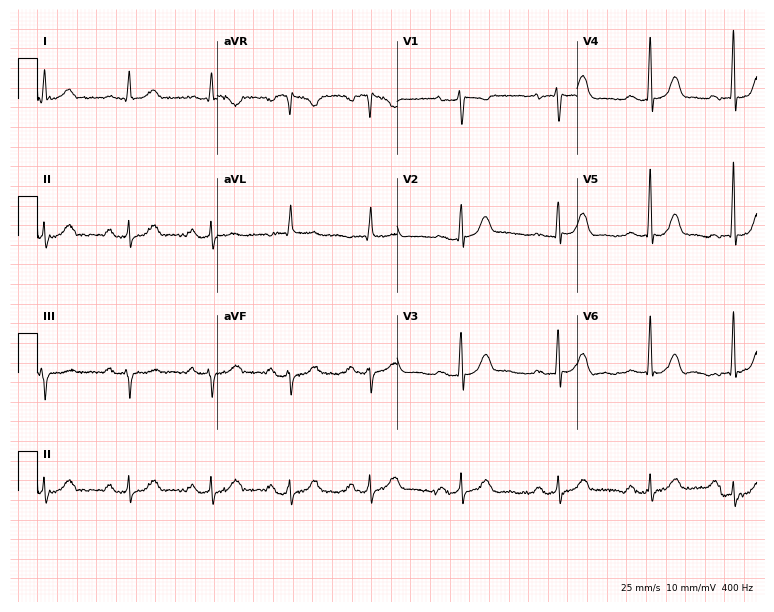
Standard 12-lead ECG recorded from a woman, 59 years old. None of these six findings is recorded: first-degree AV block, right bundle branch block, left bundle branch block, sinus bradycardia, atrial fibrillation, sinus tachycardia.